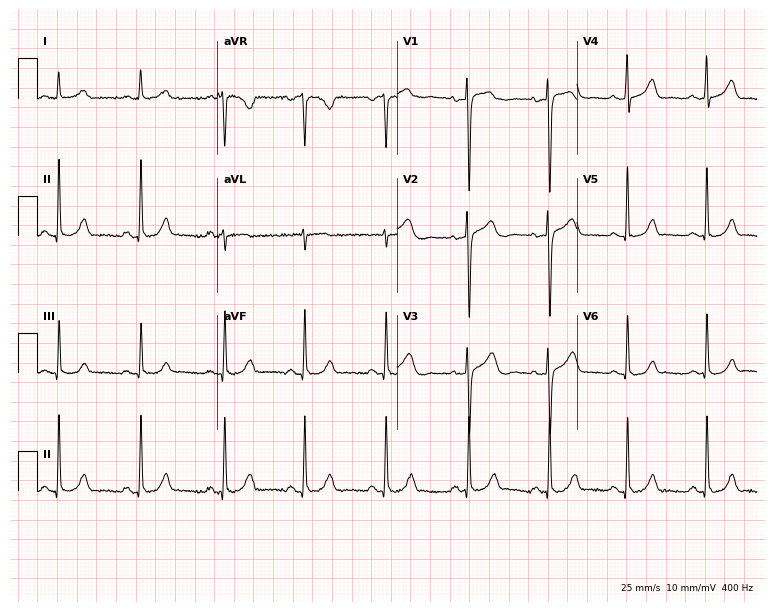
Electrocardiogram (7.3-second recording at 400 Hz), a 53-year-old female. Overall reading on record: normal ECG.